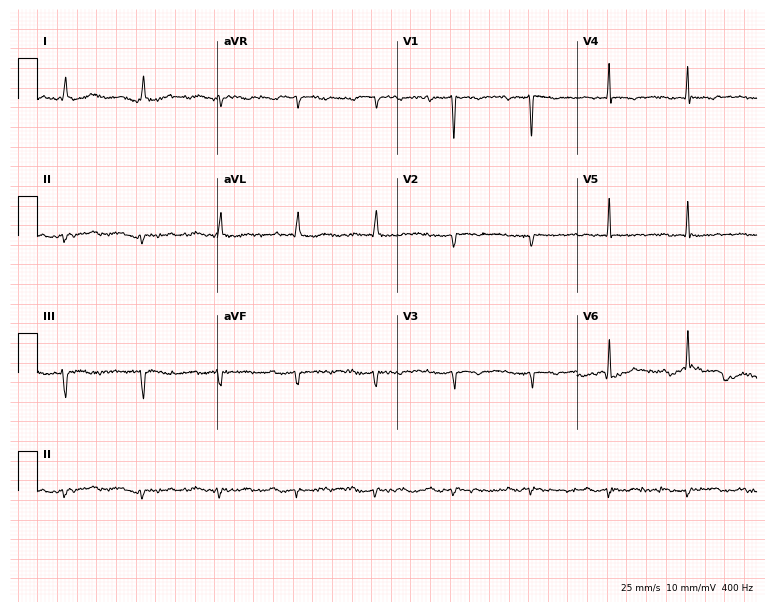
Standard 12-lead ECG recorded from a woman, 77 years old (7.3-second recording at 400 Hz). The tracing shows first-degree AV block.